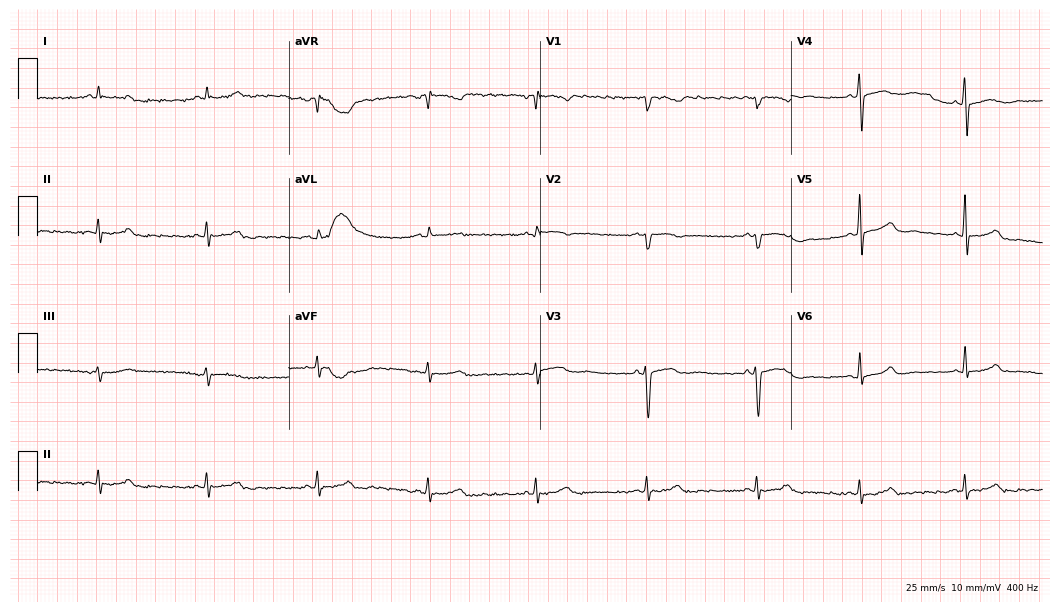
ECG — a 47-year-old female. Labelled as a normal ECG.